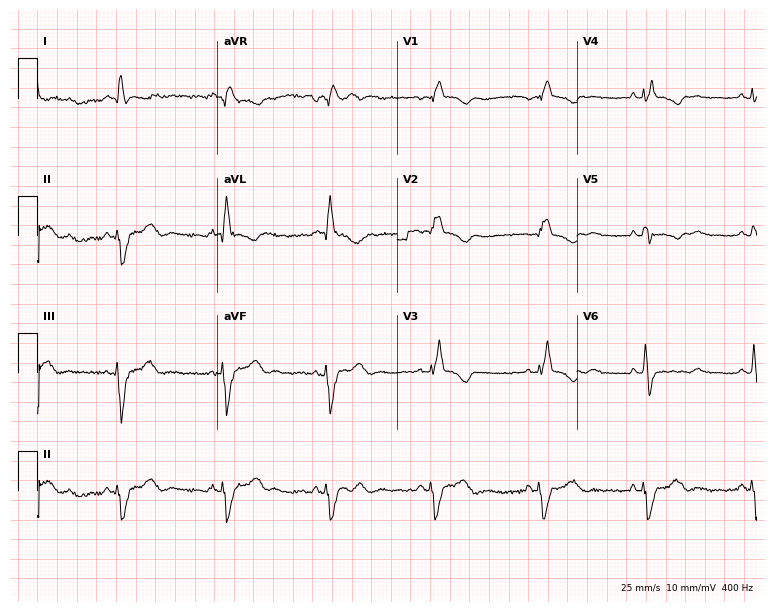
12-lead ECG (7.3-second recording at 400 Hz) from a woman, 56 years old. Screened for six findings — first-degree AV block, right bundle branch block, left bundle branch block, sinus bradycardia, atrial fibrillation, sinus tachycardia — none is recorded.